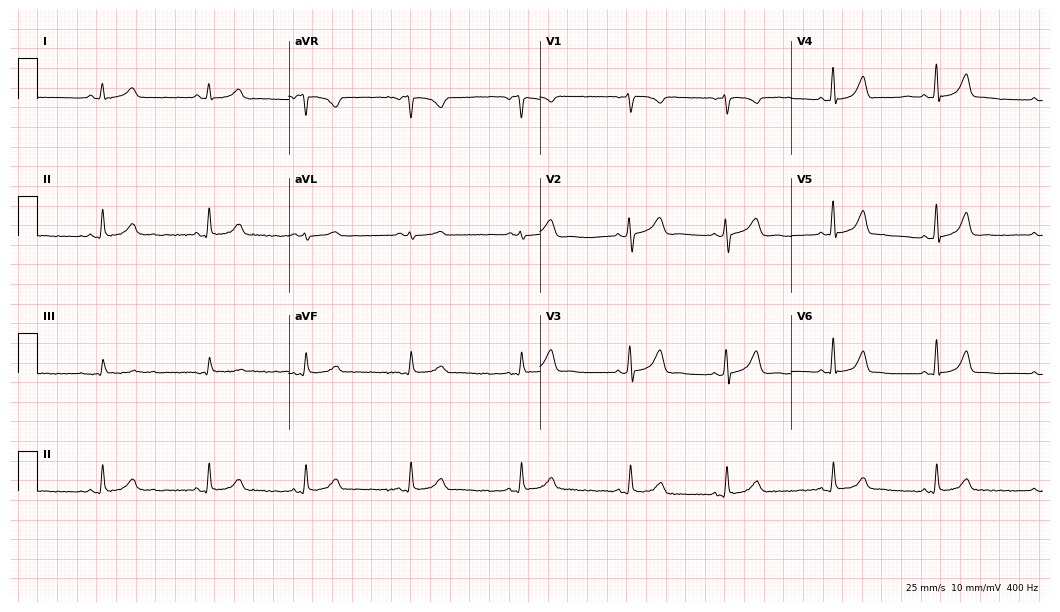
Resting 12-lead electrocardiogram. Patient: a female, 25 years old. Read as a normal ECG.